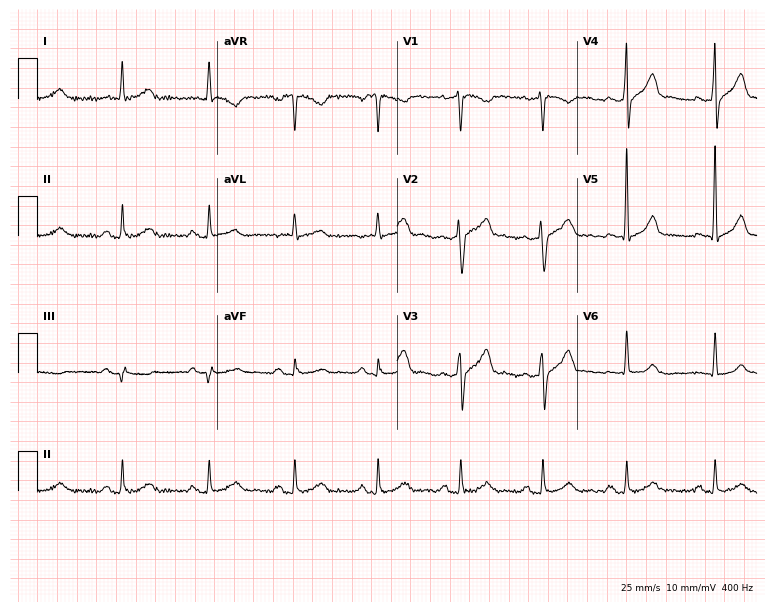
Standard 12-lead ECG recorded from a man, 54 years old (7.3-second recording at 400 Hz). None of these six findings is recorded: first-degree AV block, right bundle branch block, left bundle branch block, sinus bradycardia, atrial fibrillation, sinus tachycardia.